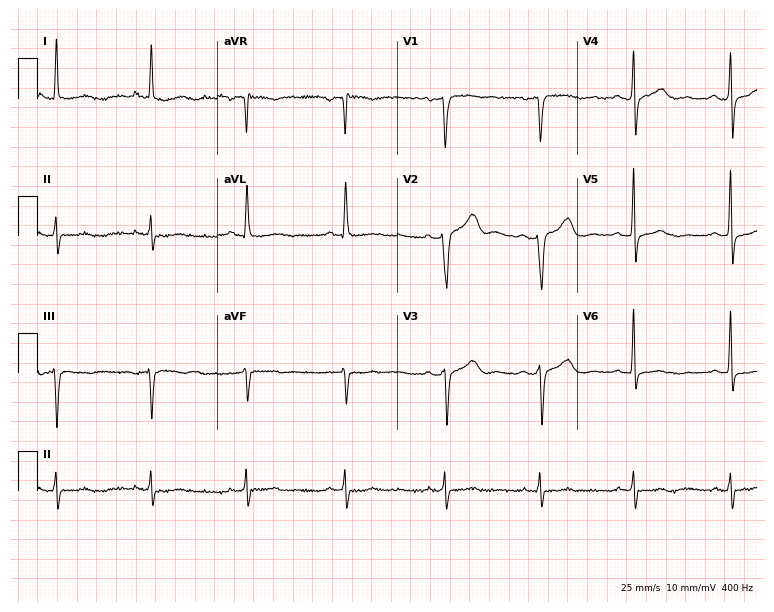
Standard 12-lead ECG recorded from a female patient, 74 years old. Read as a normal ECG.